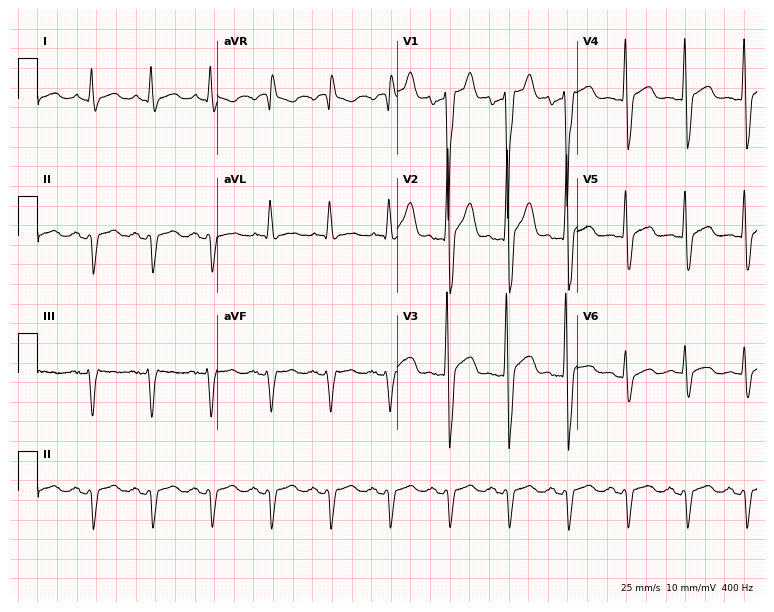
12-lead ECG (7.3-second recording at 400 Hz) from a 58-year-old man. Screened for six findings — first-degree AV block, right bundle branch block, left bundle branch block, sinus bradycardia, atrial fibrillation, sinus tachycardia — none is recorded. Findings outside these six are not listed.